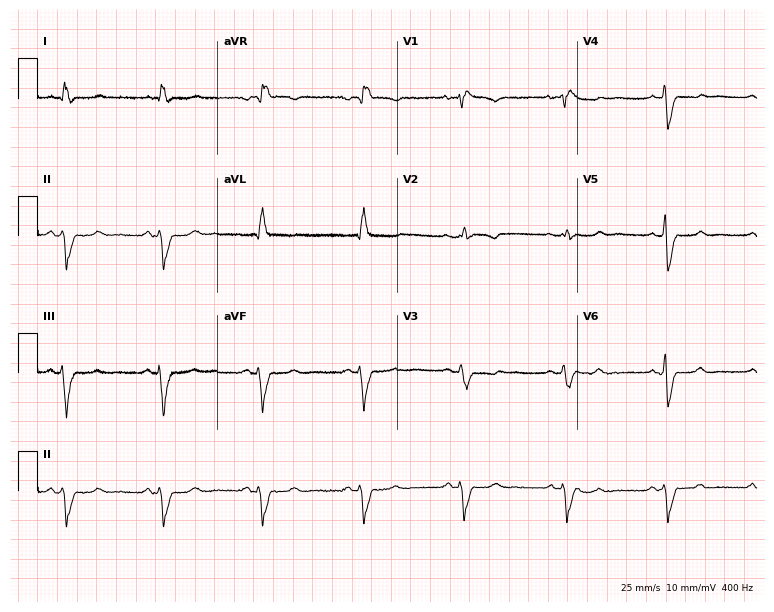
Electrocardiogram (7.3-second recording at 400 Hz), a woman, 65 years old. Interpretation includes right bundle branch block.